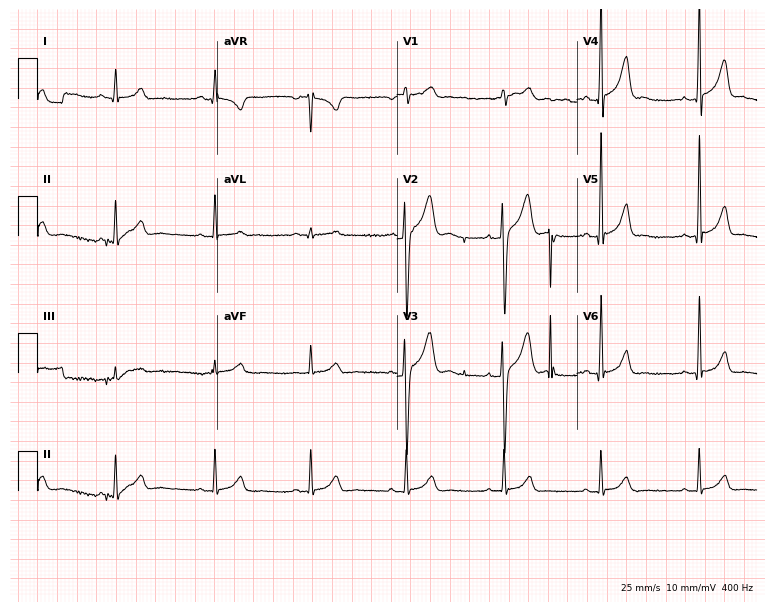
12-lead ECG (7.3-second recording at 400 Hz) from a 21-year-old man. Labelled as a normal ECG.